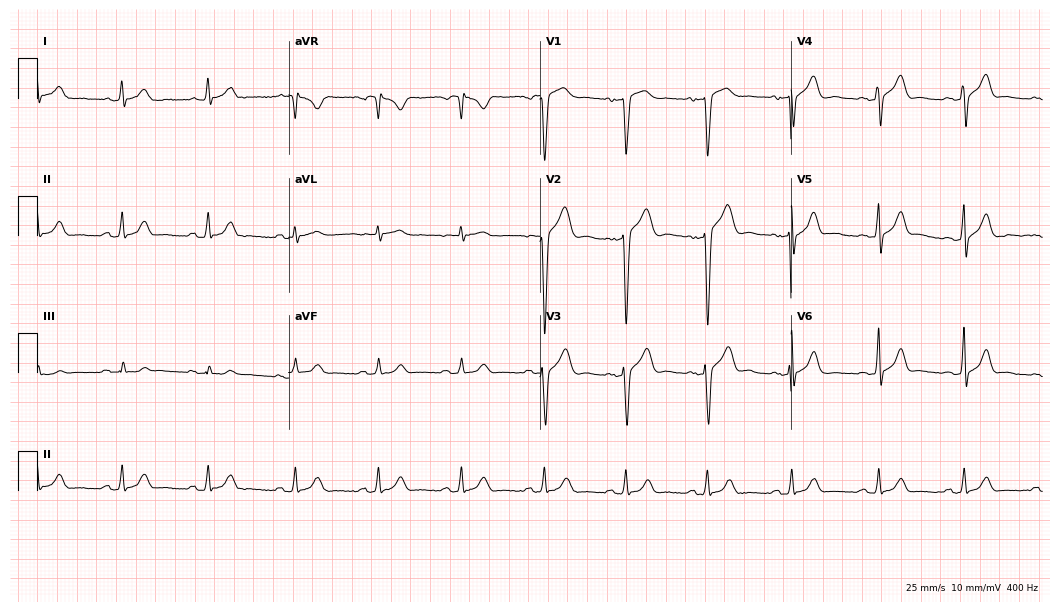
ECG (10.2-second recording at 400 Hz) — a man, 28 years old. Labelled as a normal ECG.